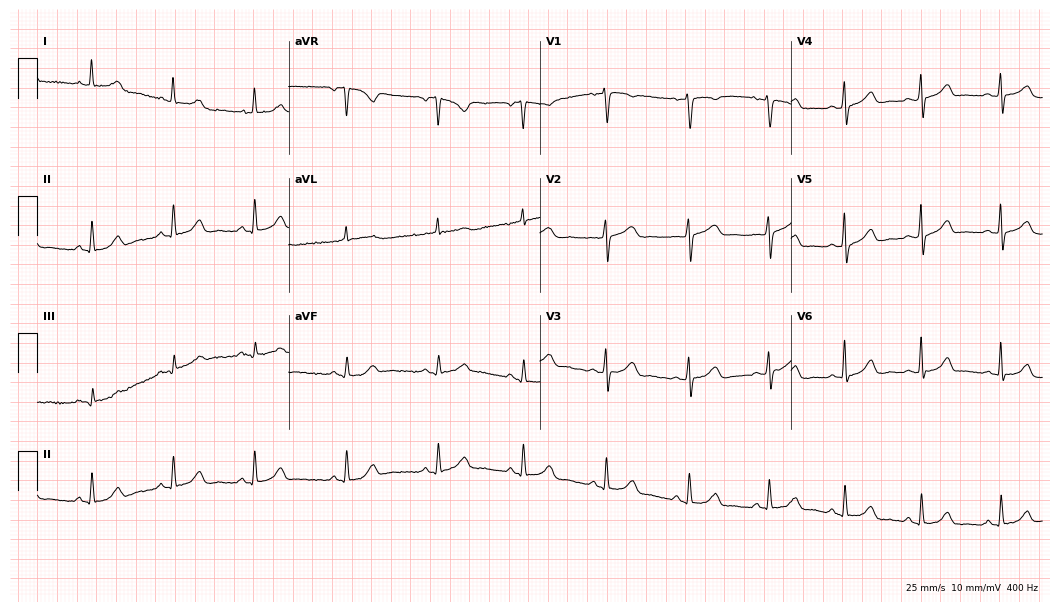
Standard 12-lead ECG recorded from a 39-year-old female. Read as a normal ECG.